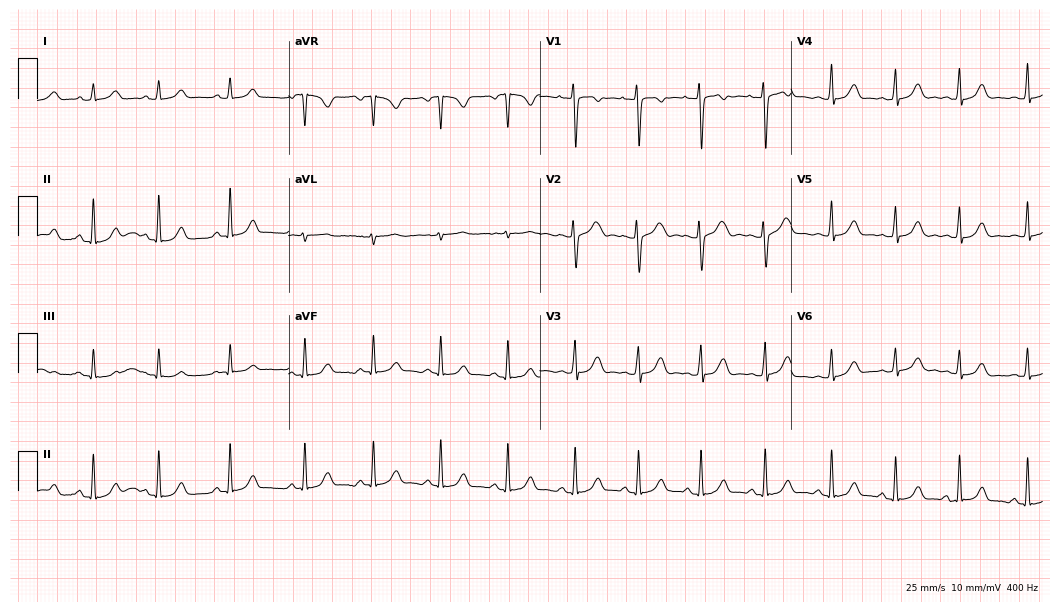
ECG — a 20-year-old woman. Screened for six findings — first-degree AV block, right bundle branch block (RBBB), left bundle branch block (LBBB), sinus bradycardia, atrial fibrillation (AF), sinus tachycardia — none is recorded.